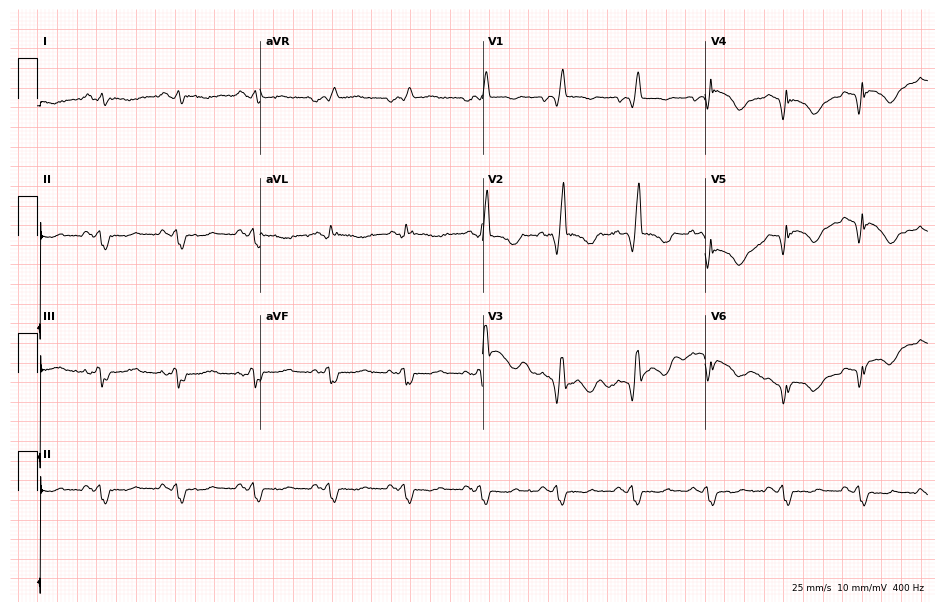
12-lead ECG from a male patient, 47 years old. Screened for six findings — first-degree AV block, right bundle branch block, left bundle branch block, sinus bradycardia, atrial fibrillation, sinus tachycardia — none is recorded. Other findings, if any, are not listed.